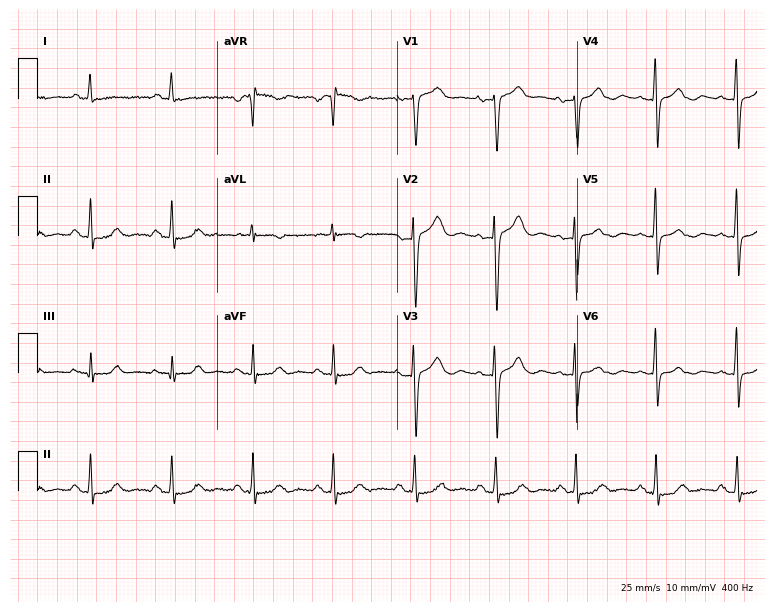
Standard 12-lead ECG recorded from a woman, 67 years old (7.3-second recording at 400 Hz). None of these six findings is recorded: first-degree AV block, right bundle branch block, left bundle branch block, sinus bradycardia, atrial fibrillation, sinus tachycardia. Findings outside these six are not listed.